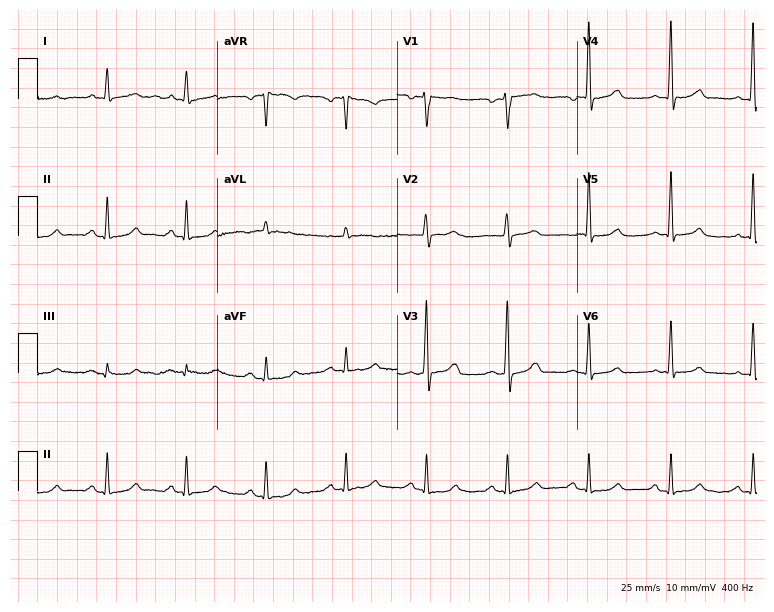
Electrocardiogram (7.3-second recording at 400 Hz), a 61-year-old male. Overall reading on record: normal ECG.